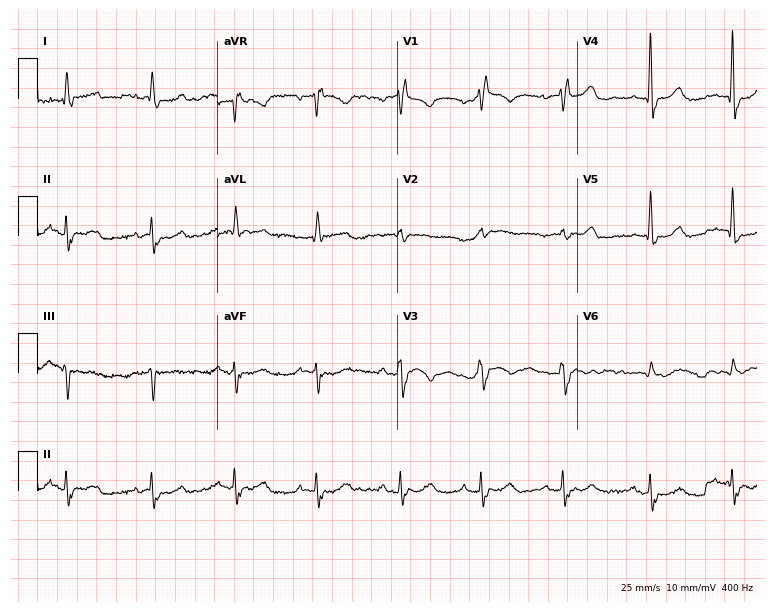
Standard 12-lead ECG recorded from a 74-year-old woman (7.3-second recording at 400 Hz). None of these six findings is recorded: first-degree AV block, right bundle branch block, left bundle branch block, sinus bradycardia, atrial fibrillation, sinus tachycardia. Findings outside these six are not listed.